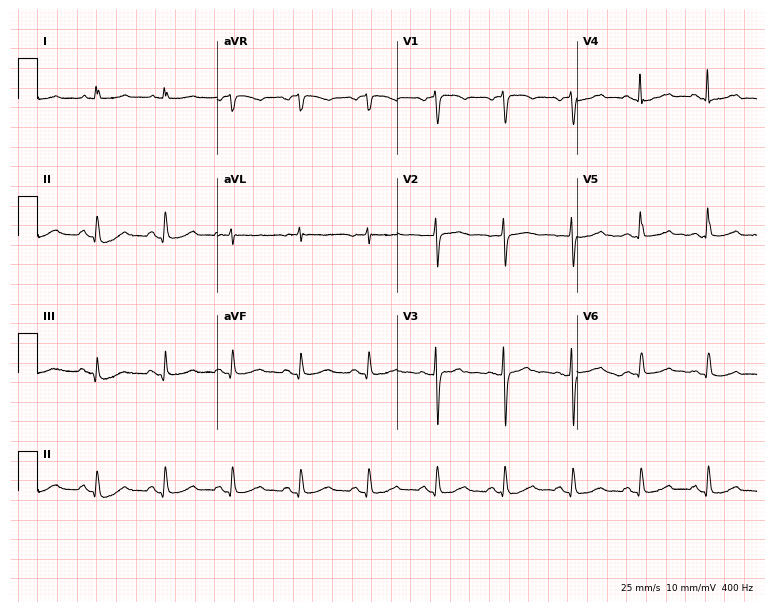
12-lead ECG from a woman, 72 years old. Screened for six findings — first-degree AV block, right bundle branch block, left bundle branch block, sinus bradycardia, atrial fibrillation, sinus tachycardia — none is recorded.